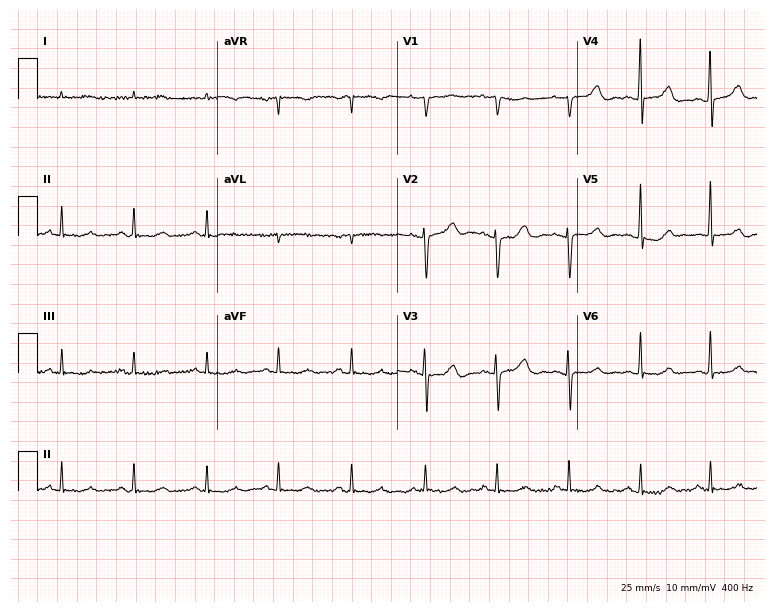
Resting 12-lead electrocardiogram. Patient: a 73-year-old female. None of these six findings is recorded: first-degree AV block, right bundle branch block, left bundle branch block, sinus bradycardia, atrial fibrillation, sinus tachycardia. Findings outside these six are not listed.